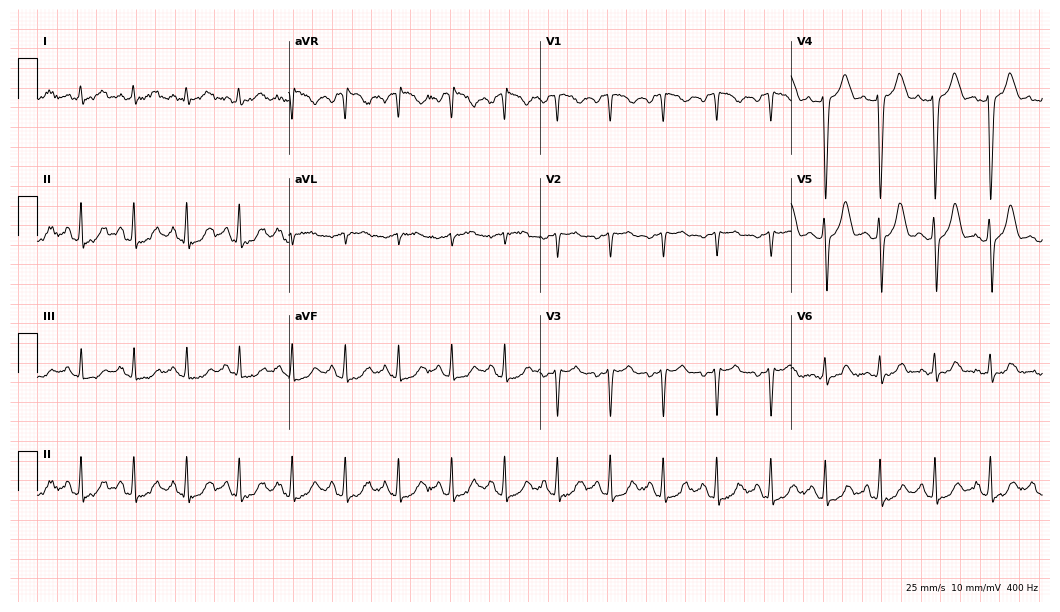
ECG — a female, 31 years old. Findings include sinus tachycardia (a sinus rate of 100 beats per minute or more).